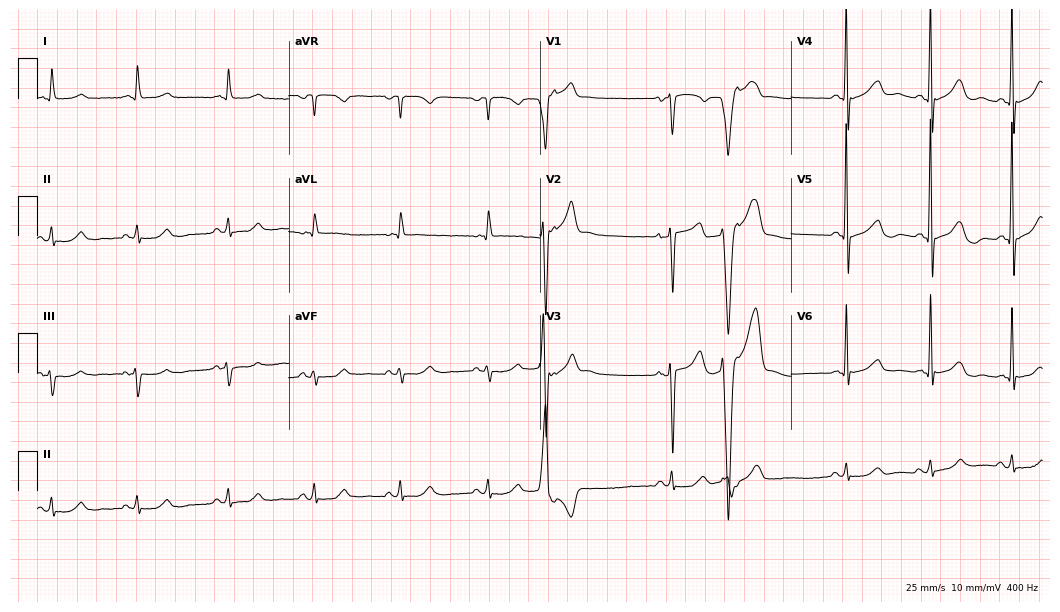
Standard 12-lead ECG recorded from an 81-year-old man (10.2-second recording at 400 Hz). Read as a normal ECG.